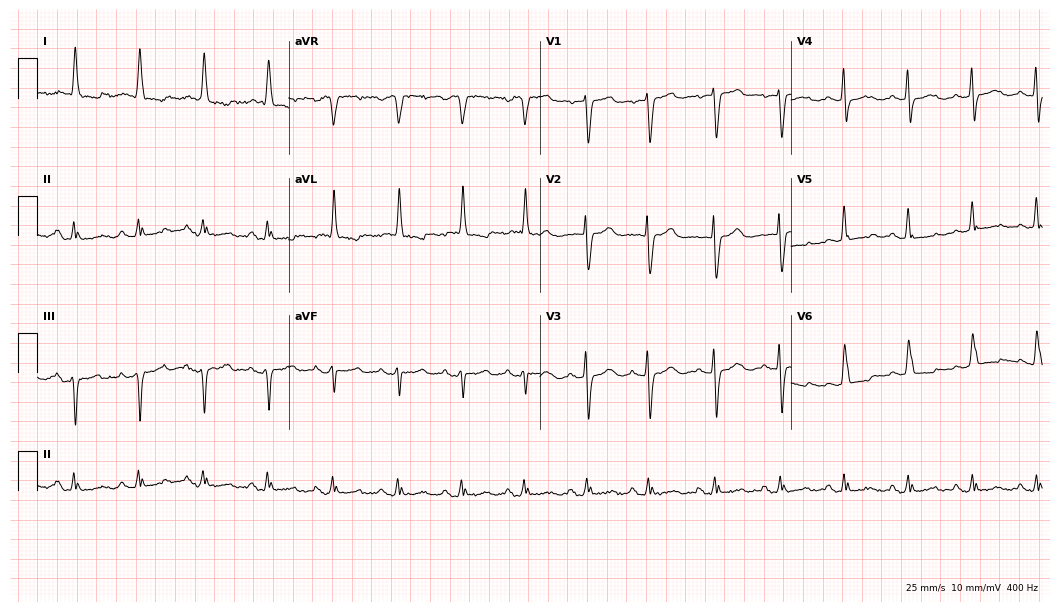
ECG (10.2-second recording at 400 Hz) — a female, 81 years old. Screened for six findings — first-degree AV block, right bundle branch block, left bundle branch block, sinus bradycardia, atrial fibrillation, sinus tachycardia — none is recorded. Other findings, if any, are not listed.